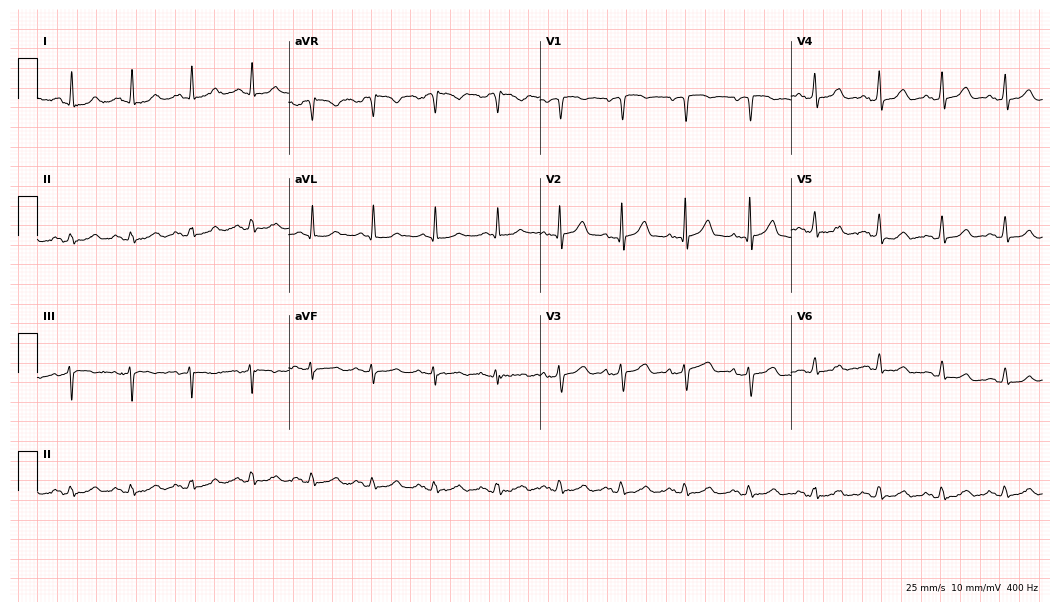
12-lead ECG from a male, 71 years old. Screened for six findings — first-degree AV block, right bundle branch block, left bundle branch block, sinus bradycardia, atrial fibrillation, sinus tachycardia — none is recorded.